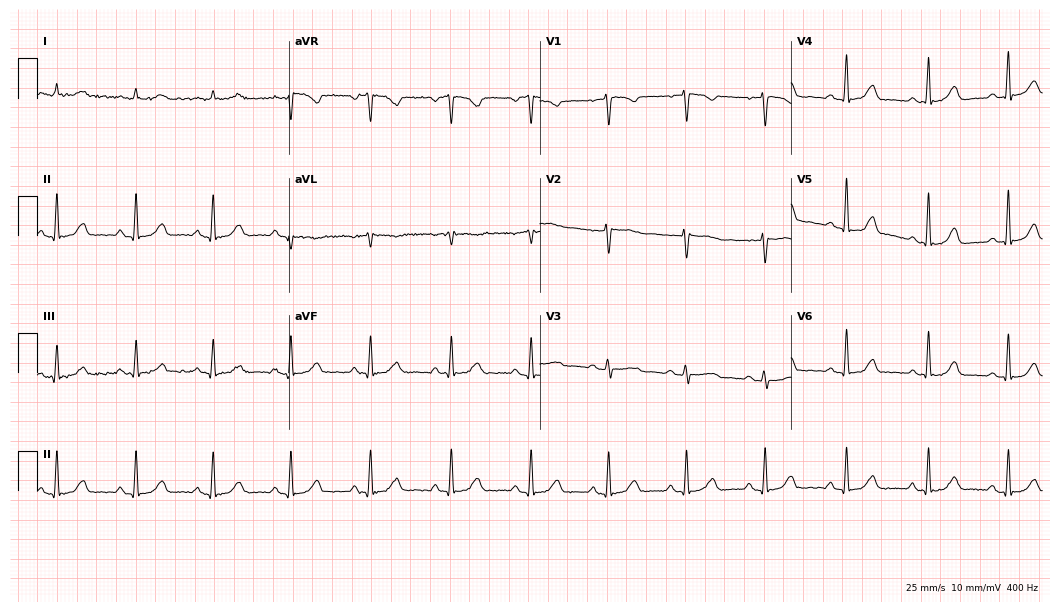
12-lead ECG (10.2-second recording at 400 Hz) from a 43-year-old woman. Labelled as a normal ECG.